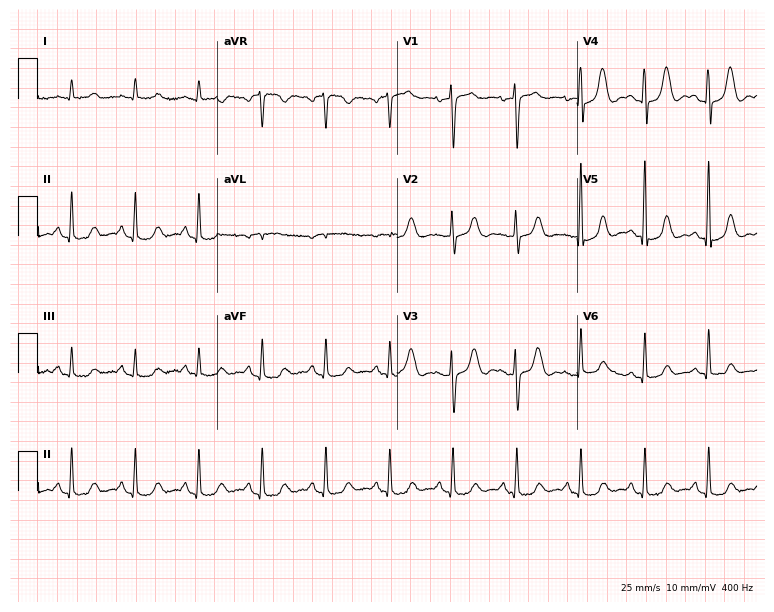
Electrocardiogram, a 78-year-old woman. Of the six screened findings (first-degree AV block, right bundle branch block, left bundle branch block, sinus bradycardia, atrial fibrillation, sinus tachycardia), none is recorded.